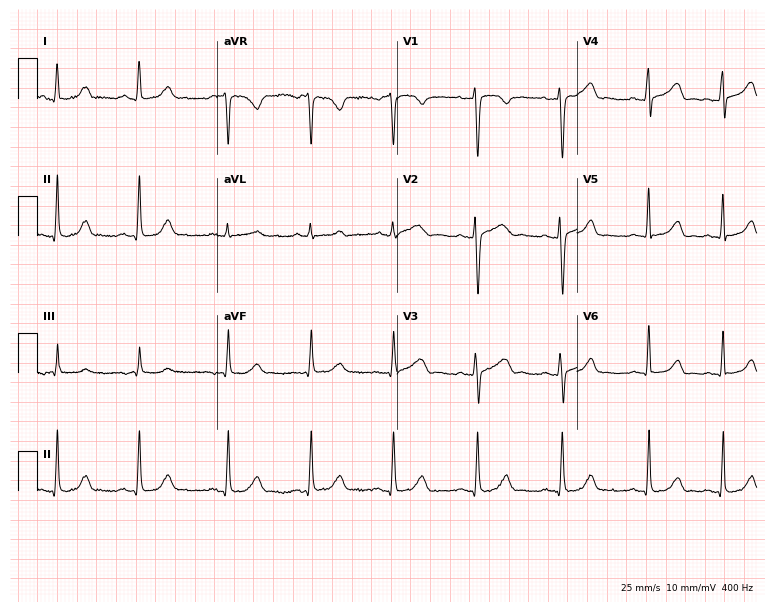
12-lead ECG (7.3-second recording at 400 Hz) from a 29-year-old woman. Screened for six findings — first-degree AV block, right bundle branch block (RBBB), left bundle branch block (LBBB), sinus bradycardia, atrial fibrillation (AF), sinus tachycardia — none is recorded.